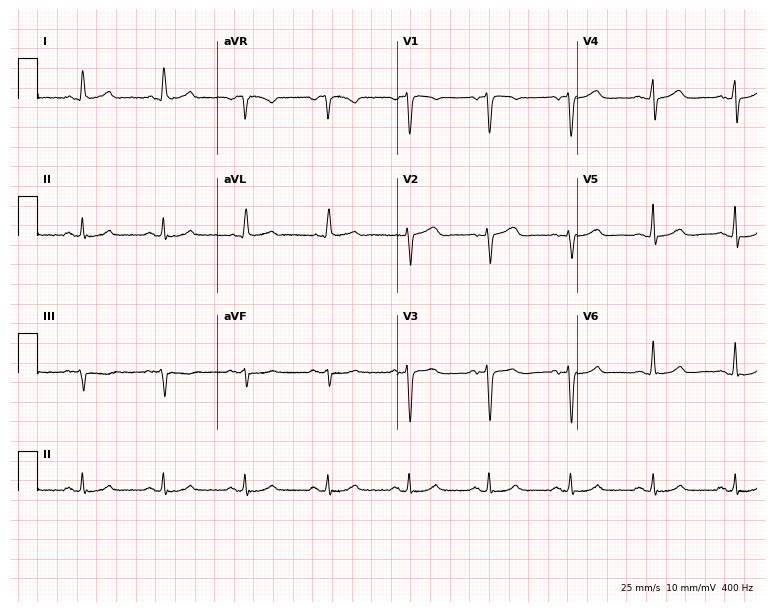
12-lead ECG (7.3-second recording at 400 Hz) from a man, 66 years old. Labelled as a normal ECG.